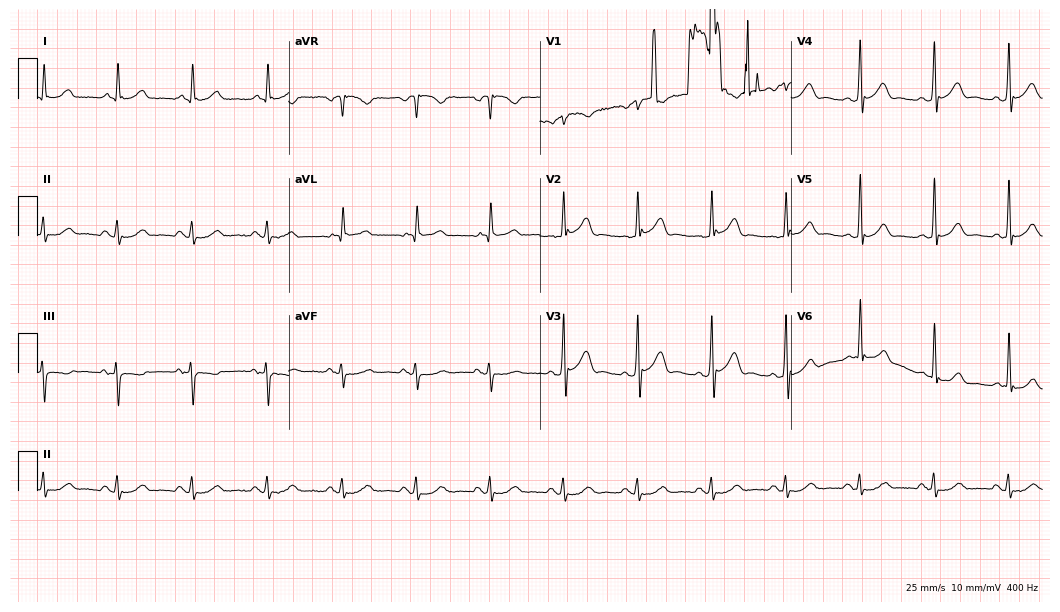
Resting 12-lead electrocardiogram. Patient: a 67-year-old man. None of these six findings is recorded: first-degree AV block, right bundle branch block, left bundle branch block, sinus bradycardia, atrial fibrillation, sinus tachycardia. Findings outside these six are not listed.